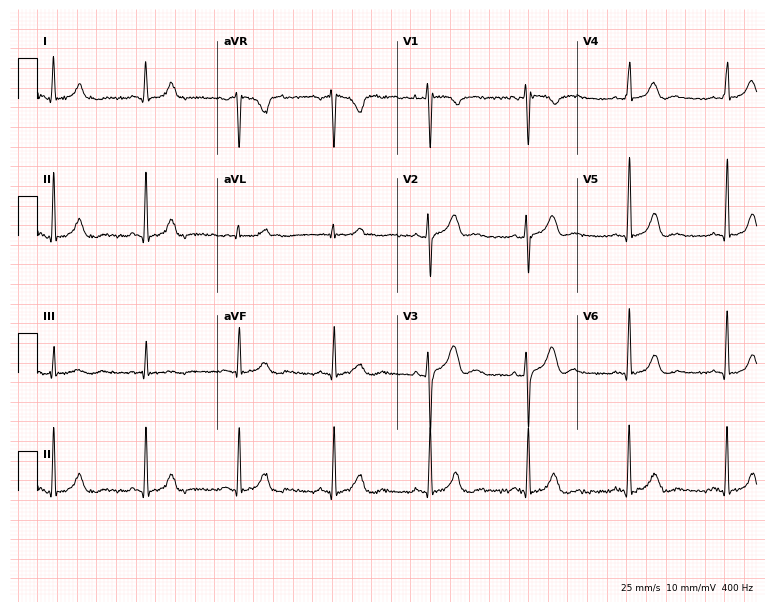
Standard 12-lead ECG recorded from a female patient, 50 years old. None of these six findings is recorded: first-degree AV block, right bundle branch block, left bundle branch block, sinus bradycardia, atrial fibrillation, sinus tachycardia. Findings outside these six are not listed.